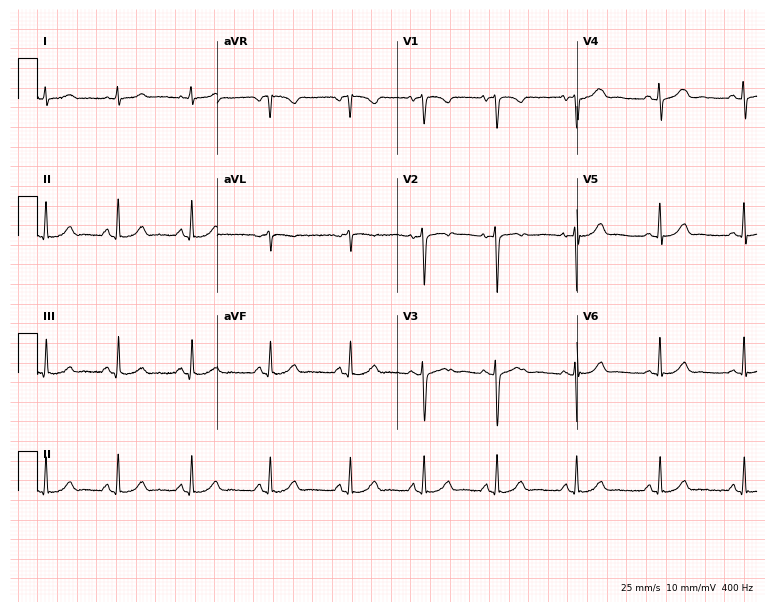
Resting 12-lead electrocardiogram (7.3-second recording at 400 Hz). Patient: a female, 25 years old. Read as a normal ECG.